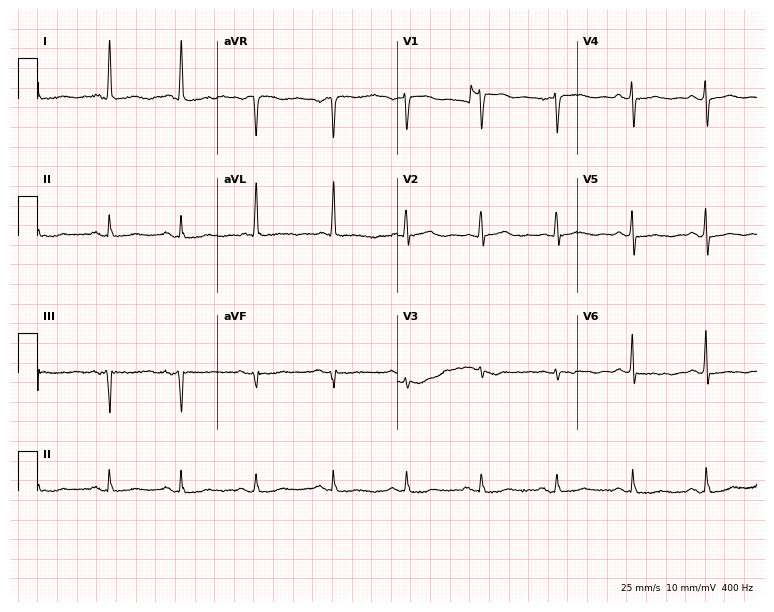
12-lead ECG from a female, 71 years old. Screened for six findings — first-degree AV block, right bundle branch block, left bundle branch block, sinus bradycardia, atrial fibrillation, sinus tachycardia — none is recorded.